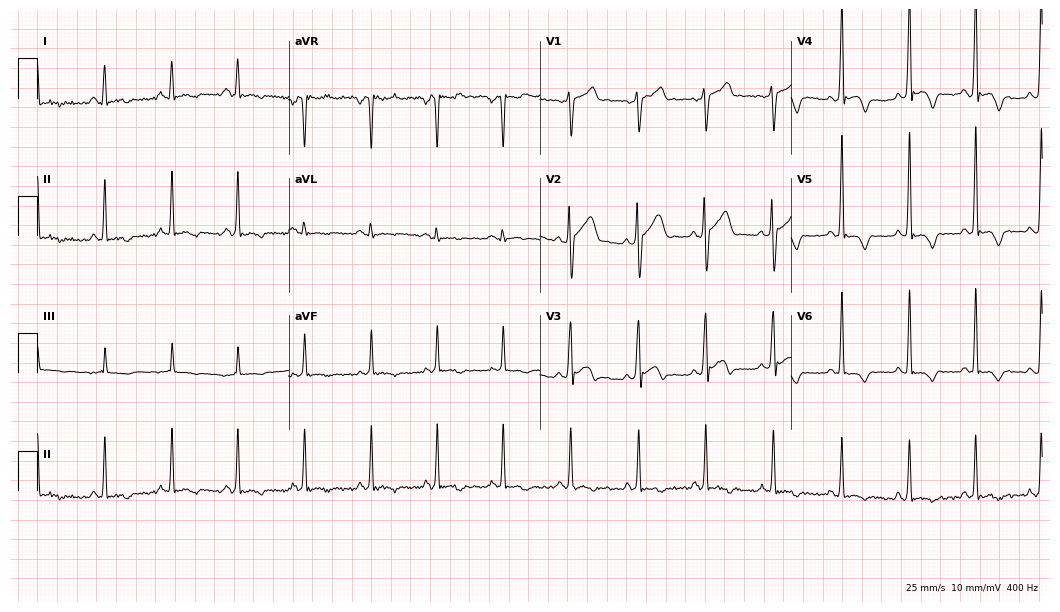
ECG (10.2-second recording at 400 Hz) — a 32-year-old male. Screened for six findings — first-degree AV block, right bundle branch block, left bundle branch block, sinus bradycardia, atrial fibrillation, sinus tachycardia — none is recorded. Only these six findings were labelled.